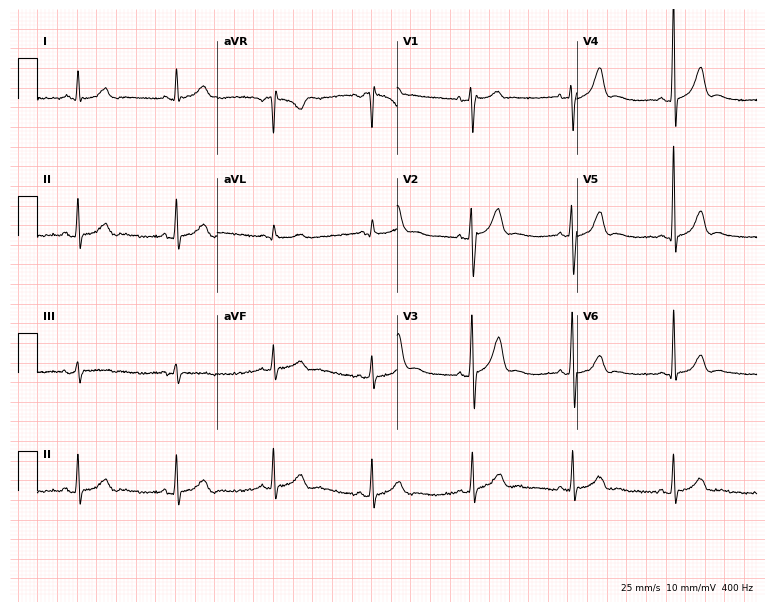
12-lead ECG from a man, 47 years old. Labelled as a normal ECG.